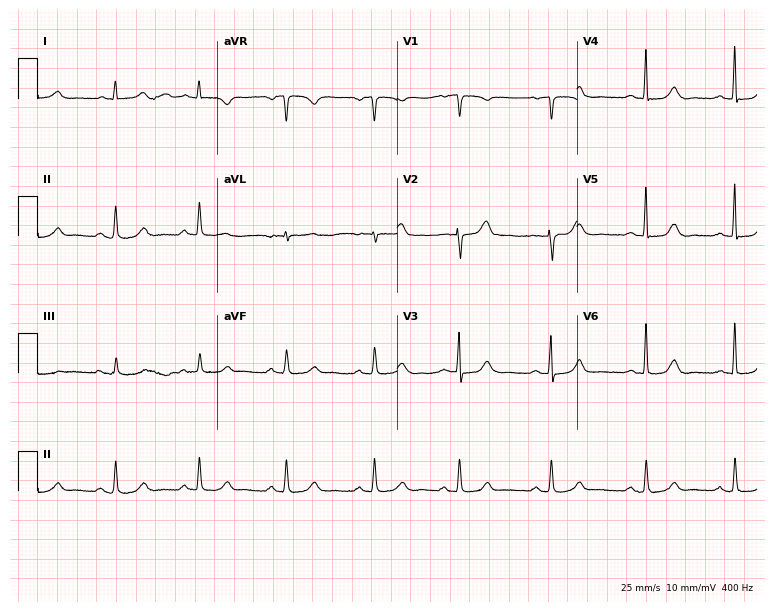
ECG (7.3-second recording at 400 Hz) — a 59-year-old female patient. Labelled as a normal ECG.